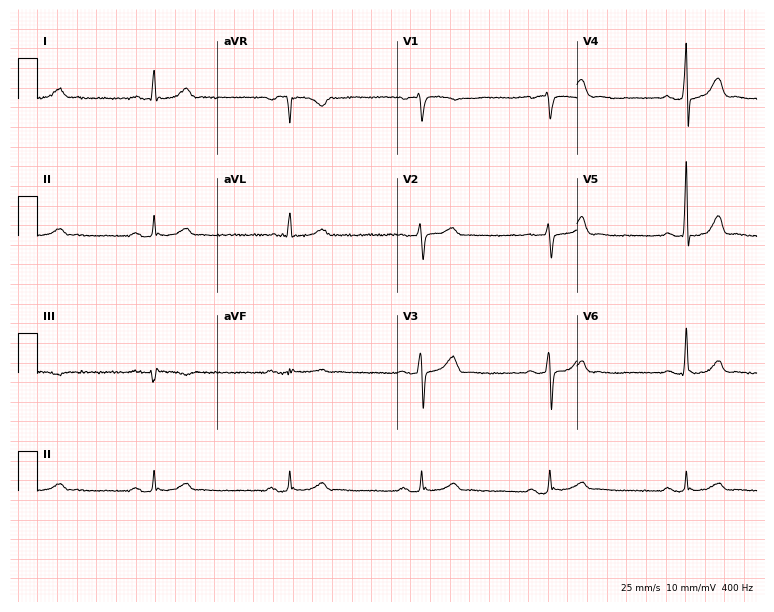
ECG — a 67-year-old male. Findings include sinus bradycardia (a sinus rate of 50 beats per minute or less).